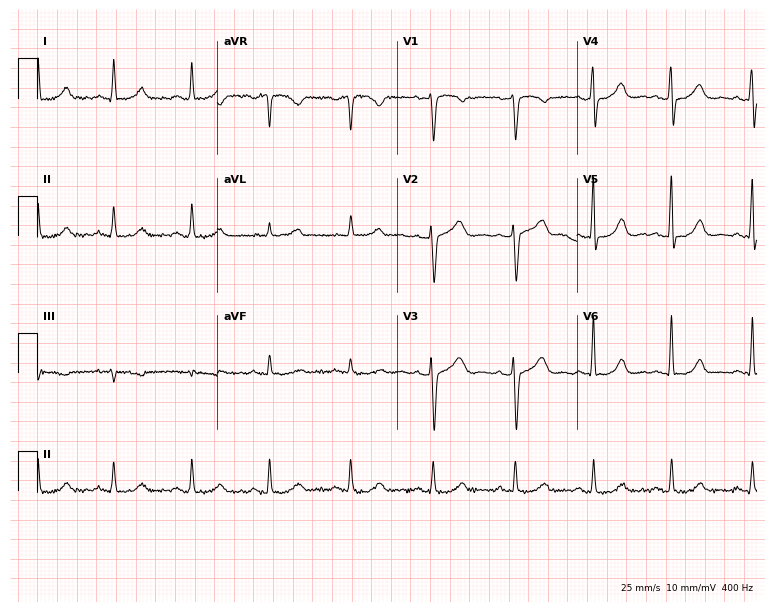
Electrocardiogram (7.3-second recording at 400 Hz), a 43-year-old female. Overall reading on record: normal ECG.